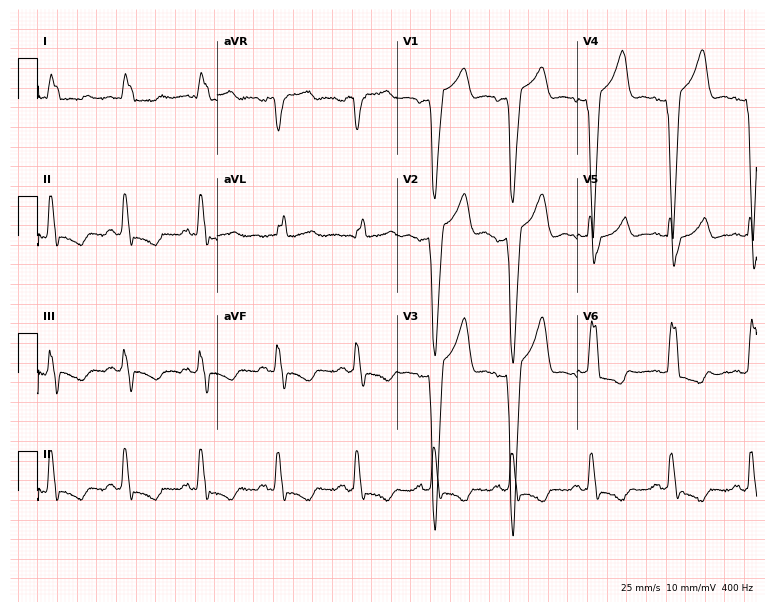
Electrocardiogram, a female, 63 years old. Interpretation includes left bundle branch block (LBBB).